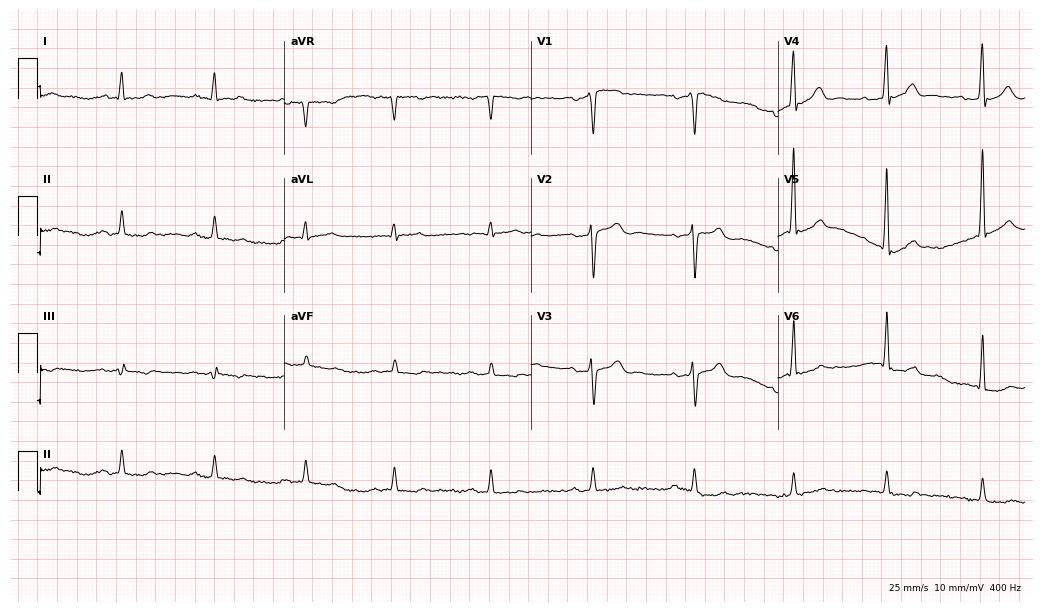
Resting 12-lead electrocardiogram (10.1-second recording at 400 Hz). Patient: a man, 68 years old. Read as a normal ECG.